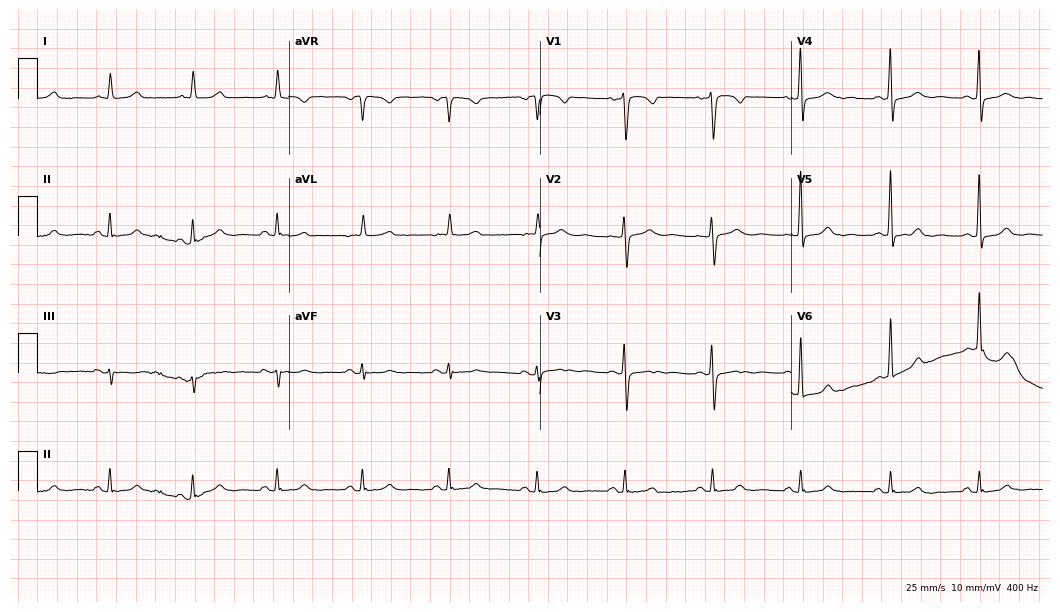
Standard 12-lead ECG recorded from a 66-year-old woman. Read as a normal ECG.